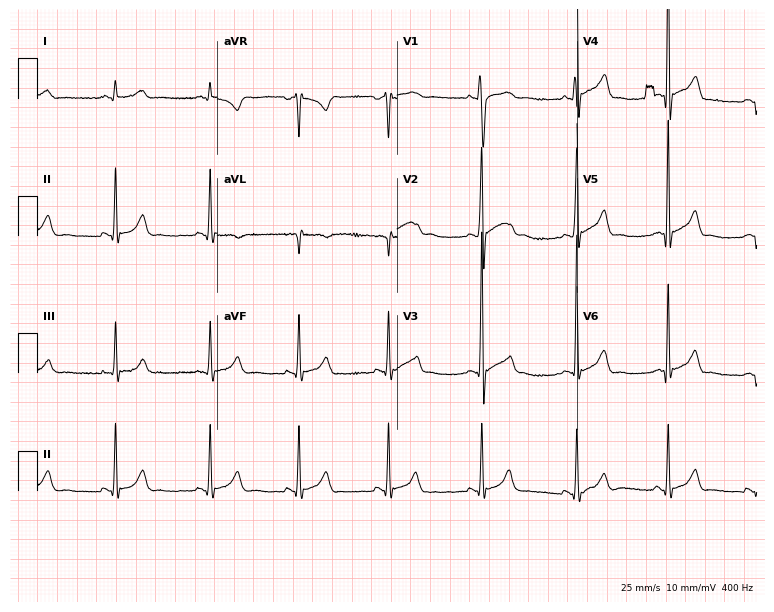
Standard 12-lead ECG recorded from a male, 19 years old (7.3-second recording at 400 Hz). Read as a normal ECG.